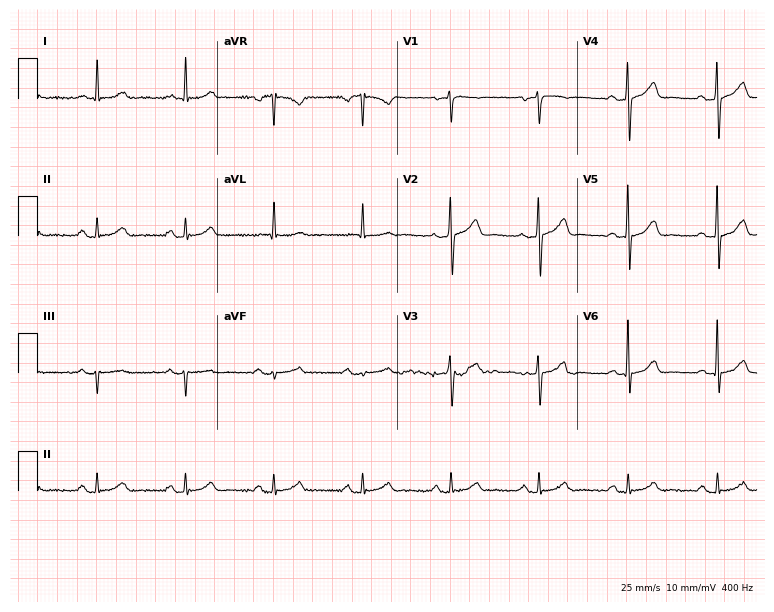
12-lead ECG from a 73-year-old man. Labelled as a normal ECG.